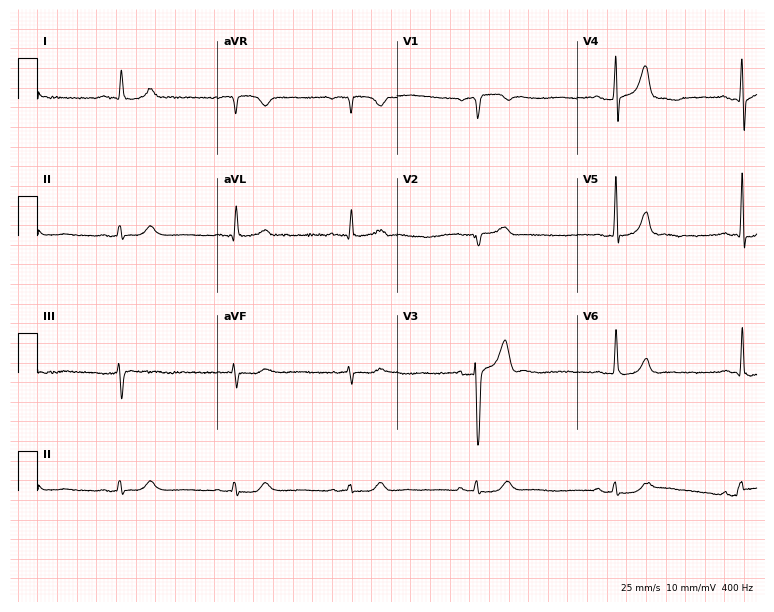
ECG — a male, 58 years old. Findings include sinus bradycardia (a sinus rate of 50 beats per minute or less).